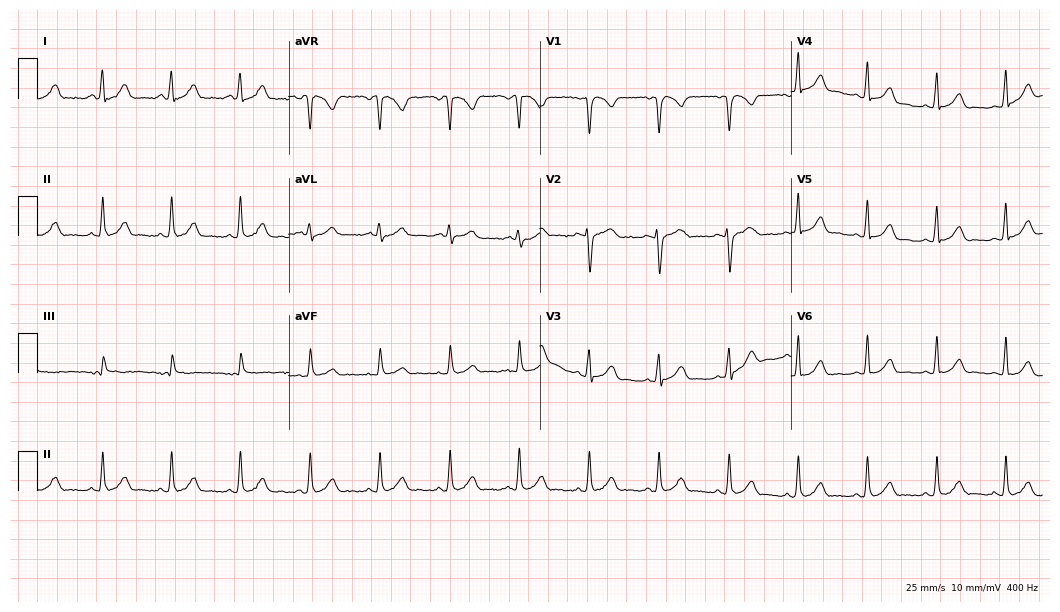
Electrocardiogram, a 22-year-old woman. Overall reading on record: normal ECG.